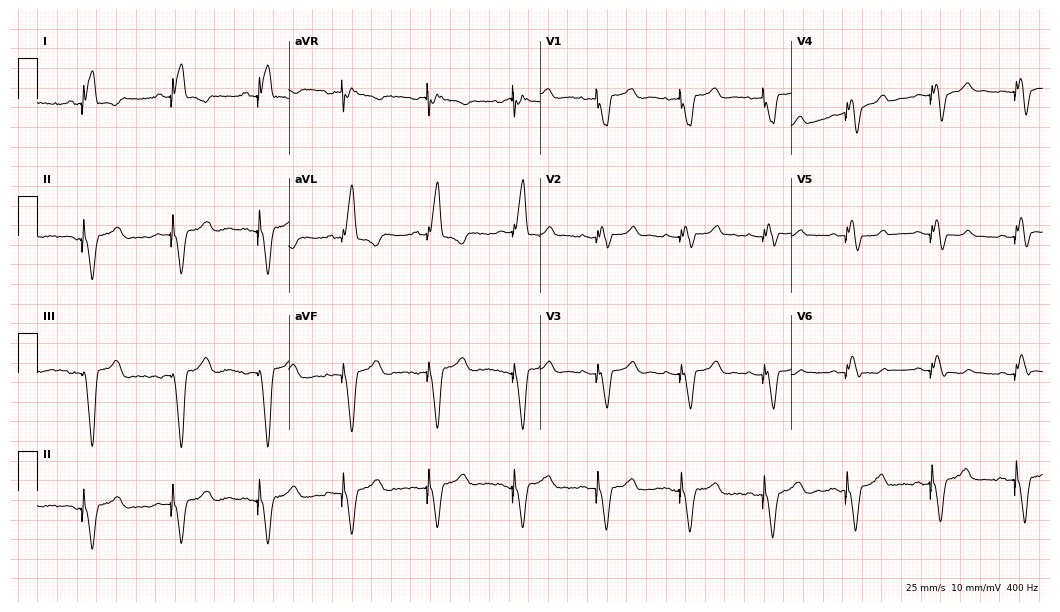
Electrocardiogram, a female, 44 years old. Of the six screened findings (first-degree AV block, right bundle branch block (RBBB), left bundle branch block (LBBB), sinus bradycardia, atrial fibrillation (AF), sinus tachycardia), none is recorded.